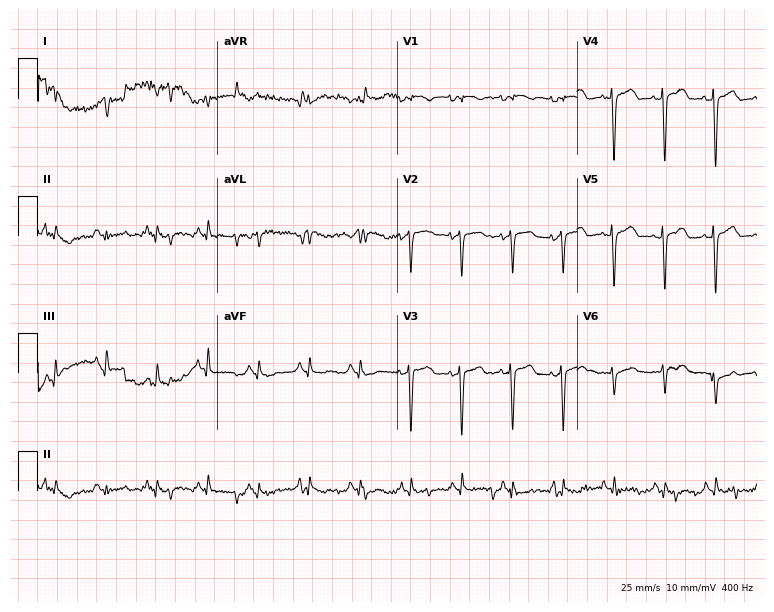
Electrocardiogram (7.3-second recording at 400 Hz), a woman, 76 years old. Of the six screened findings (first-degree AV block, right bundle branch block, left bundle branch block, sinus bradycardia, atrial fibrillation, sinus tachycardia), none is recorded.